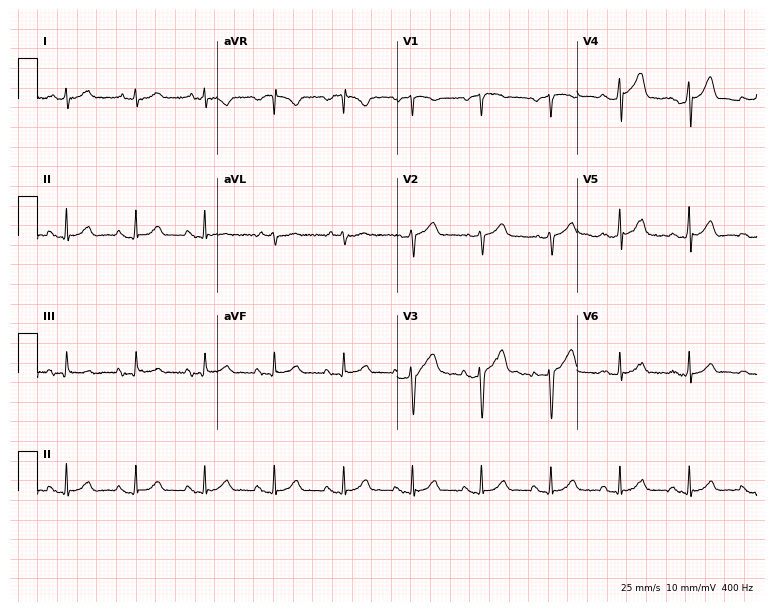
Resting 12-lead electrocardiogram (7.3-second recording at 400 Hz). Patient: a man, 60 years old. Read as a normal ECG.